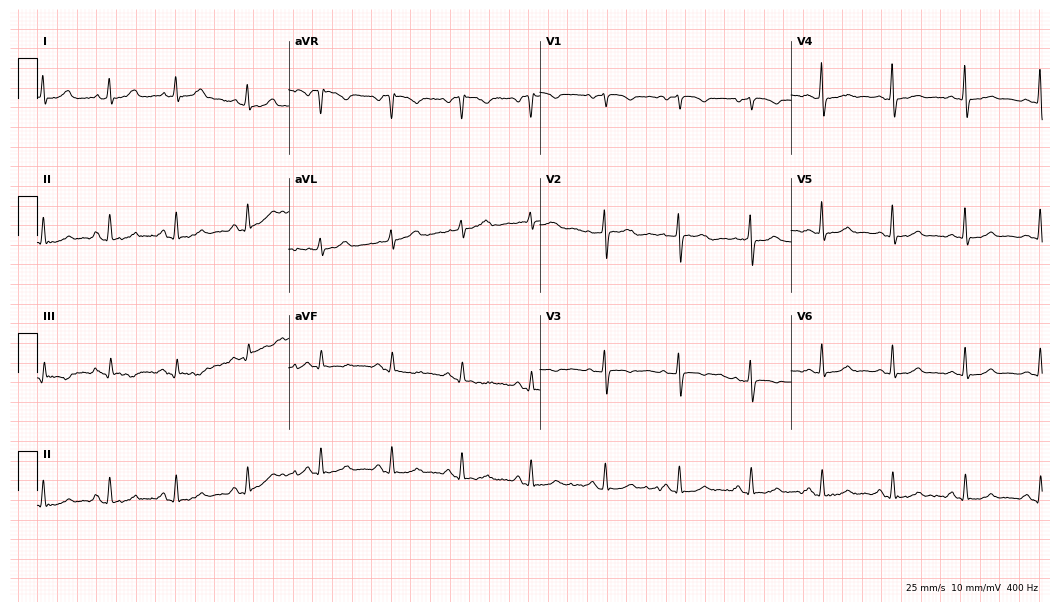
Standard 12-lead ECG recorded from a 48-year-old female. Read as a normal ECG.